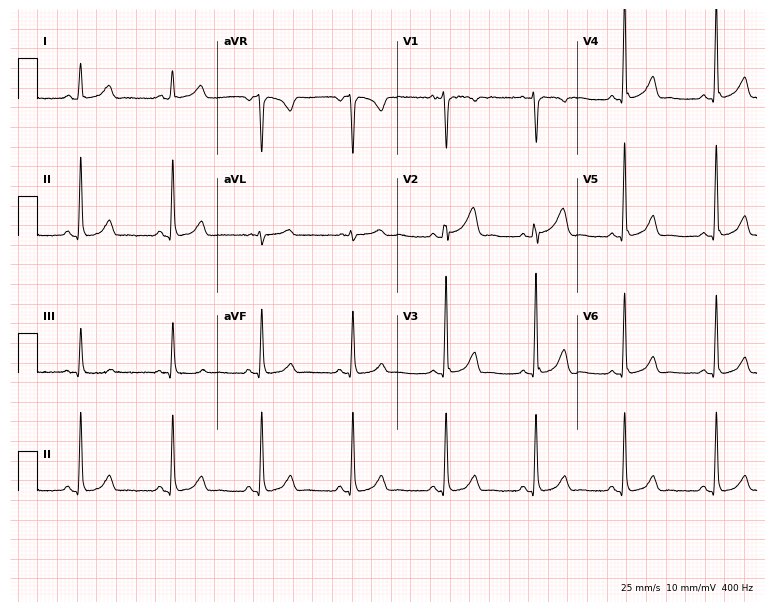
ECG (7.3-second recording at 400 Hz) — a female, 34 years old. Labelled as a normal ECG.